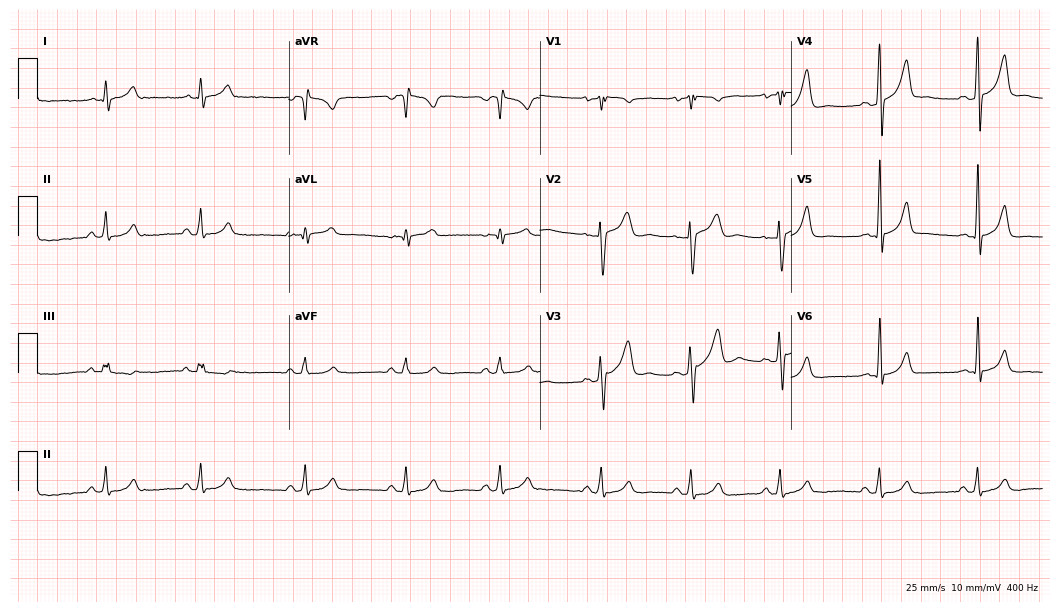
Resting 12-lead electrocardiogram (10.2-second recording at 400 Hz). Patient: a 23-year-old male. None of these six findings is recorded: first-degree AV block, right bundle branch block (RBBB), left bundle branch block (LBBB), sinus bradycardia, atrial fibrillation (AF), sinus tachycardia.